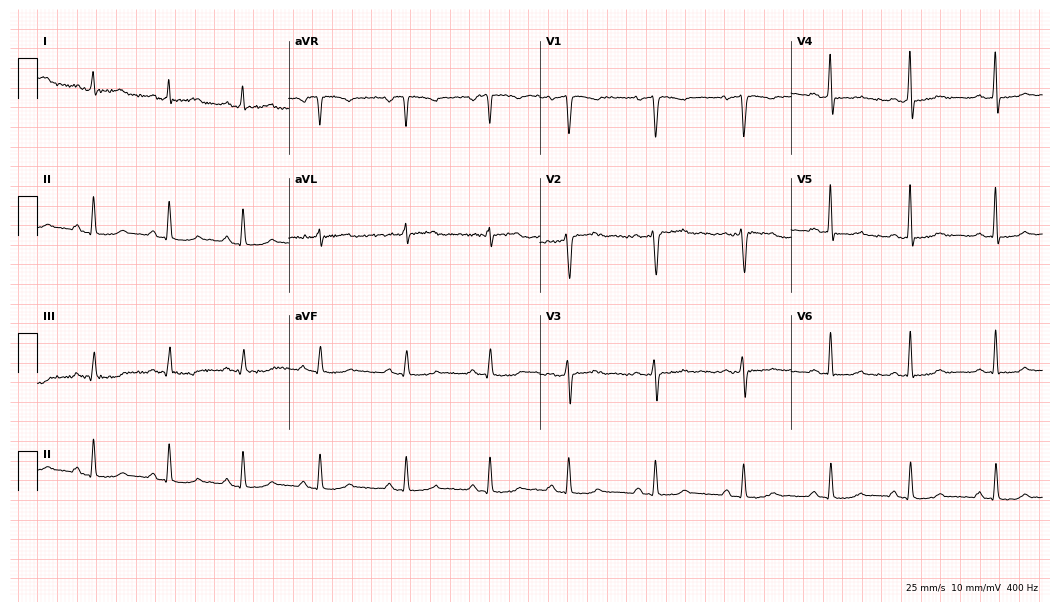
Standard 12-lead ECG recorded from a 47-year-old female. Read as a normal ECG.